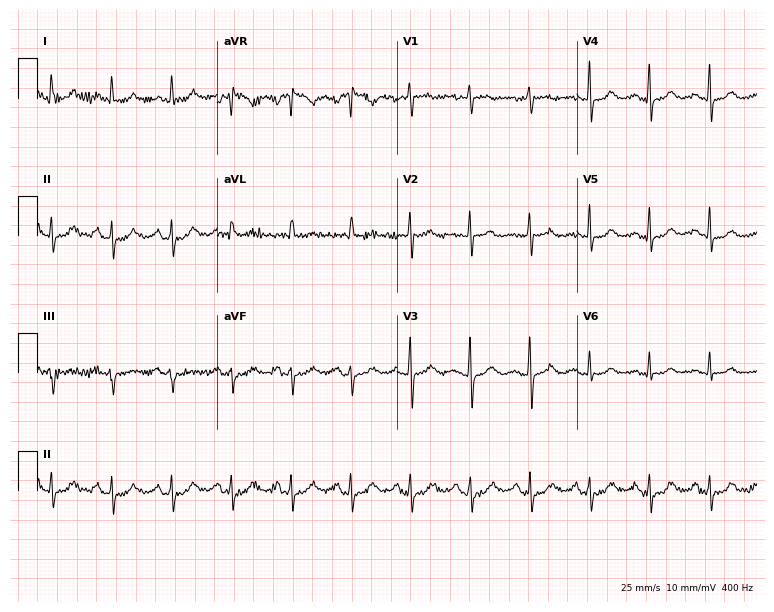
ECG — a 70-year-old woman. Labelled as a normal ECG.